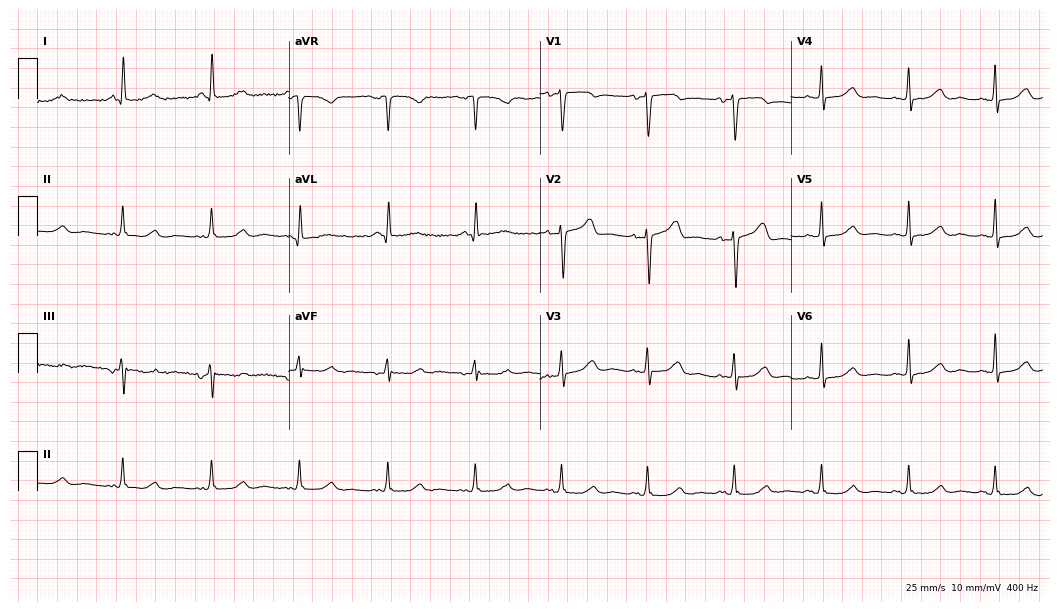
ECG (10.2-second recording at 400 Hz) — a female patient, 57 years old. Labelled as a normal ECG.